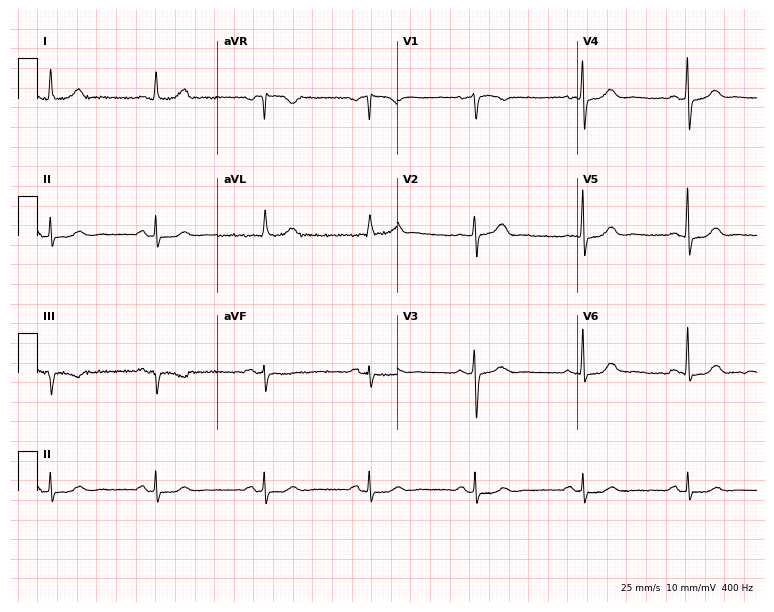
ECG (7.3-second recording at 400 Hz) — a 60-year-old woman. Labelled as a normal ECG.